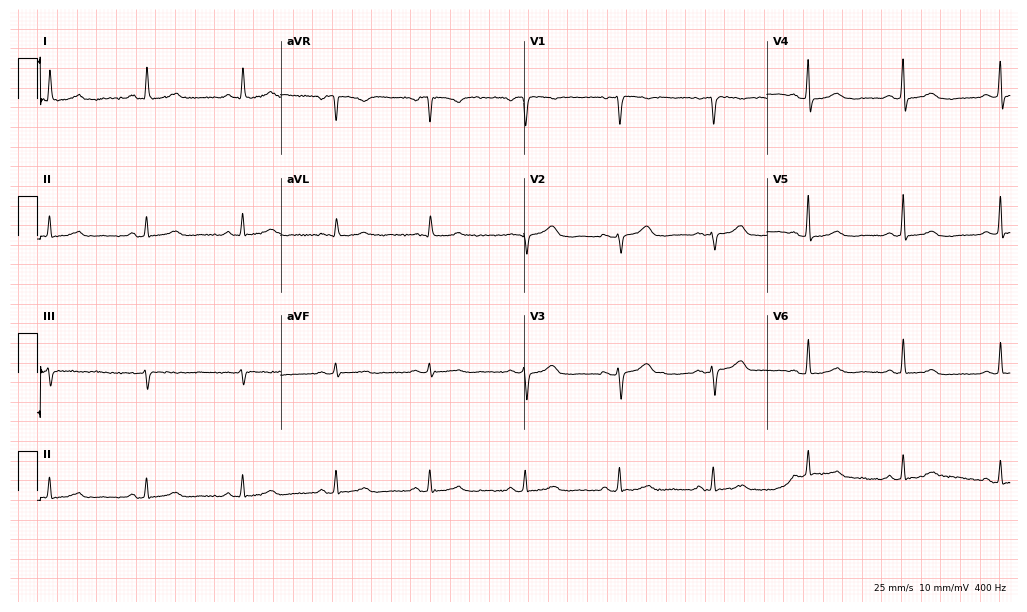
Resting 12-lead electrocardiogram. Patient: a 57-year-old female. None of these six findings is recorded: first-degree AV block, right bundle branch block, left bundle branch block, sinus bradycardia, atrial fibrillation, sinus tachycardia. Other findings, if any, are not listed.